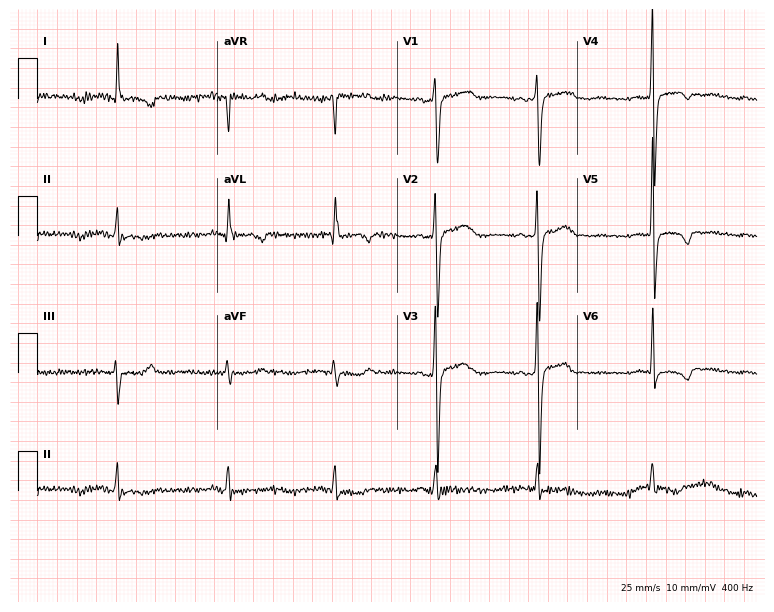
Electrocardiogram, a woman, 53 years old. Of the six screened findings (first-degree AV block, right bundle branch block (RBBB), left bundle branch block (LBBB), sinus bradycardia, atrial fibrillation (AF), sinus tachycardia), none is recorded. Findings outside these six are not listed.